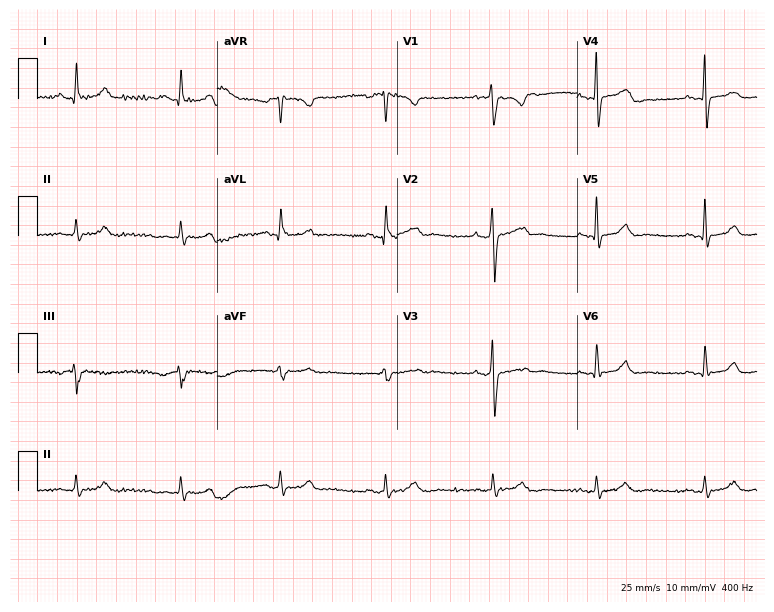
12-lead ECG from a male patient, 34 years old. Screened for six findings — first-degree AV block, right bundle branch block, left bundle branch block, sinus bradycardia, atrial fibrillation, sinus tachycardia — none is recorded. Findings outside these six are not listed.